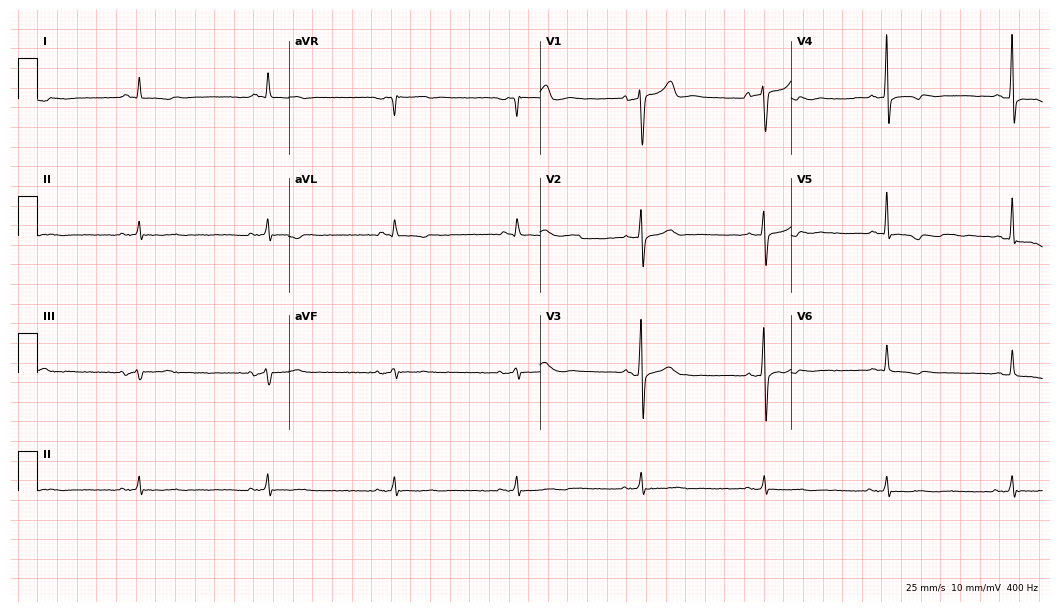
Standard 12-lead ECG recorded from a 69-year-old man (10.2-second recording at 400 Hz). None of these six findings is recorded: first-degree AV block, right bundle branch block (RBBB), left bundle branch block (LBBB), sinus bradycardia, atrial fibrillation (AF), sinus tachycardia.